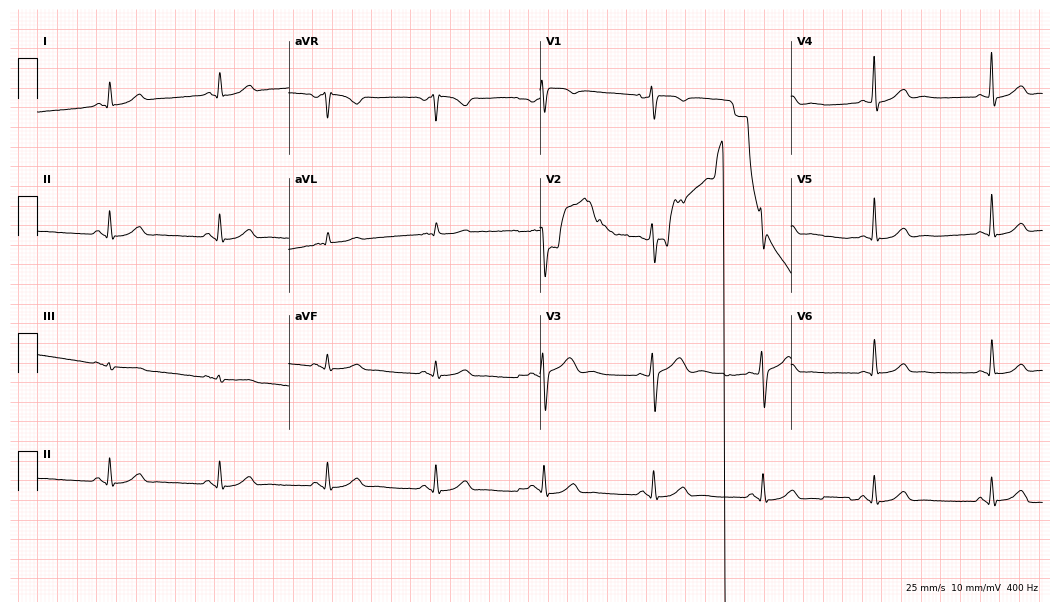
Standard 12-lead ECG recorded from a male, 51 years old. None of these six findings is recorded: first-degree AV block, right bundle branch block, left bundle branch block, sinus bradycardia, atrial fibrillation, sinus tachycardia. Findings outside these six are not listed.